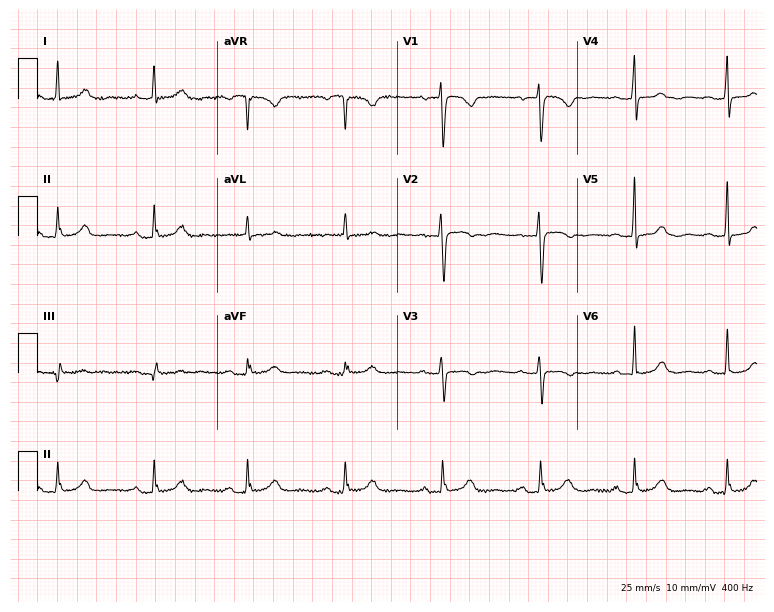
Standard 12-lead ECG recorded from a 66-year-old female patient (7.3-second recording at 400 Hz). Read as a normal ECG.